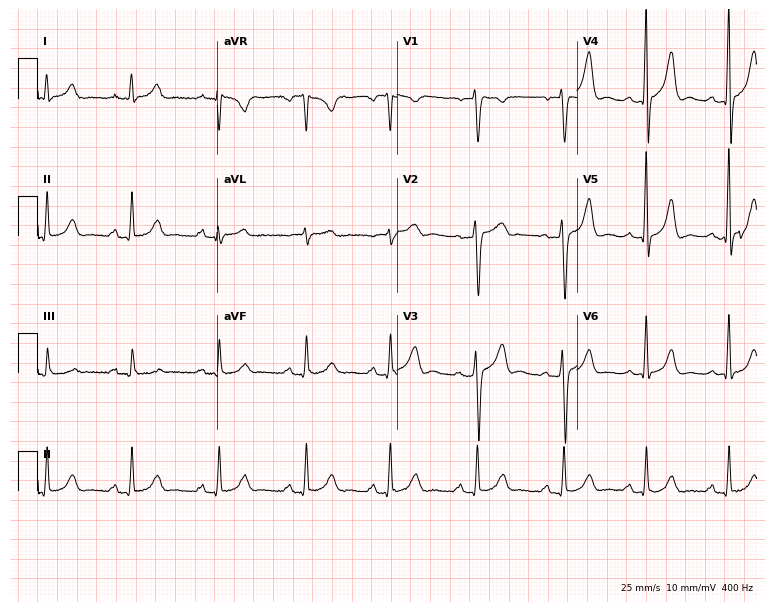
12-lead ECG from a 64-year-old male patient. Recorded interpretation: within normal limits.